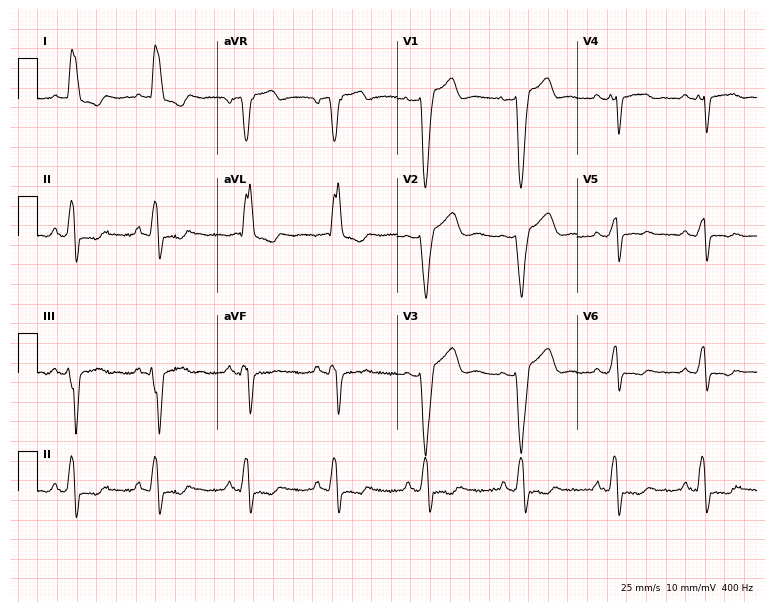
Electrocardiogram, a woman, 54 years old. Interpretation includes left bundle branch block.